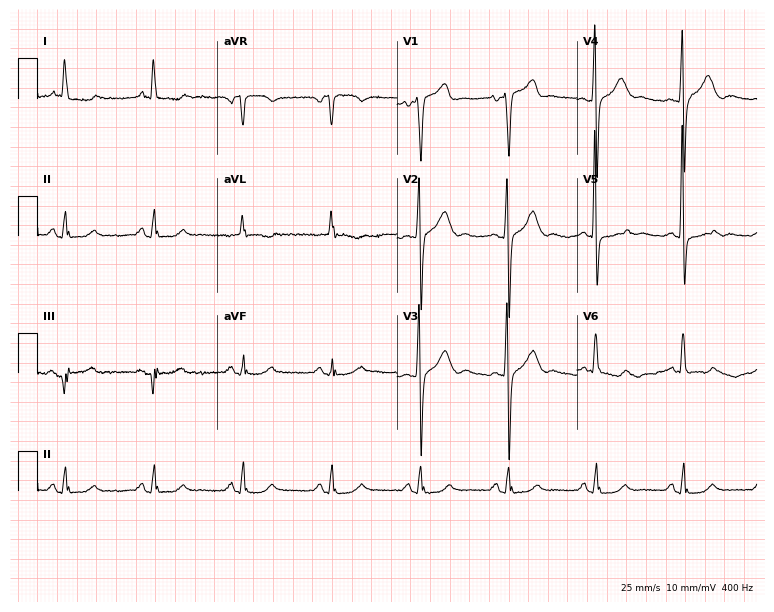
Electrocardiogram (7.3-second recording at 400 Hz), a man, 73 years old. Of the six screened findings (first-degree AV block, right bundle branch block, left bundle branch block, sinus bradycardia, atrial fibrillation, sinus tachycardia), none is recorded. Only these six findings were labelled.